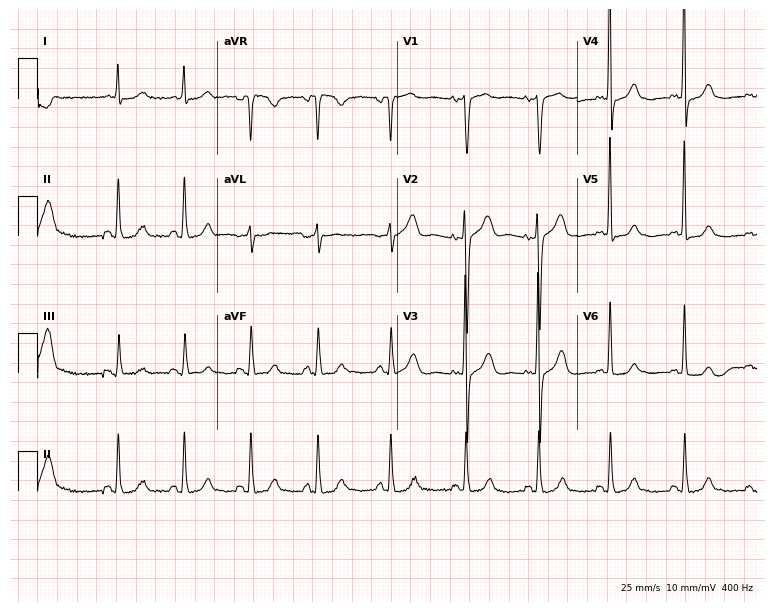
12-lead ECG from a female patient, 78 years old (7.3-second recording at 400 Hz). No first-degree AV block, right bundle branch block, left bundle branch block, sinus bradycardia, atrial fibrillation or sinus tachycardia recorded for this tracing.